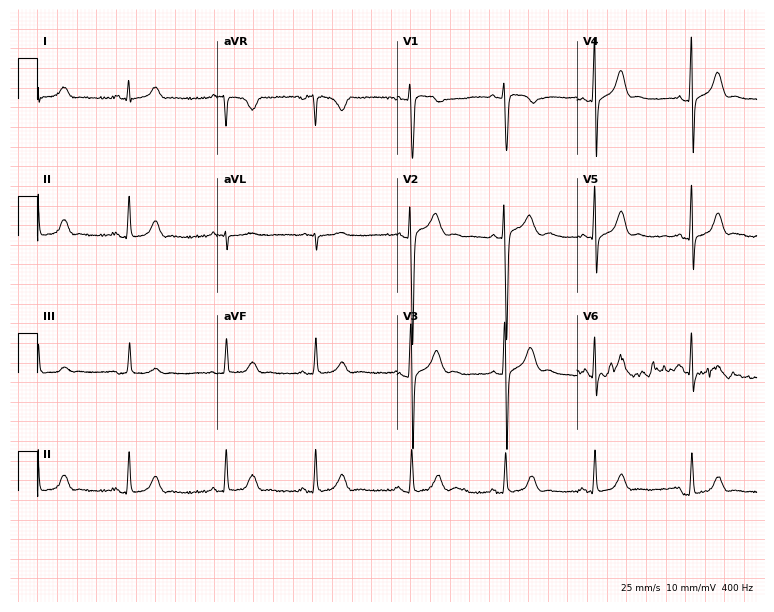
12-lead ECG from a female patient, 17 years old. Recorded interpretation: within normal limits.